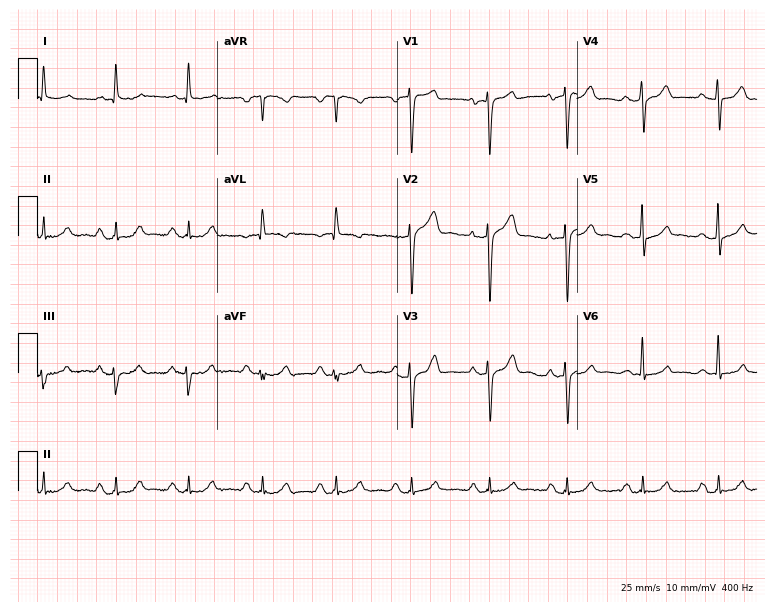
Resting 12-lead electrocardiogram (7.3-second recording at 400 Hz). Patient: a 74-year-old man. Read as a normal ECG.